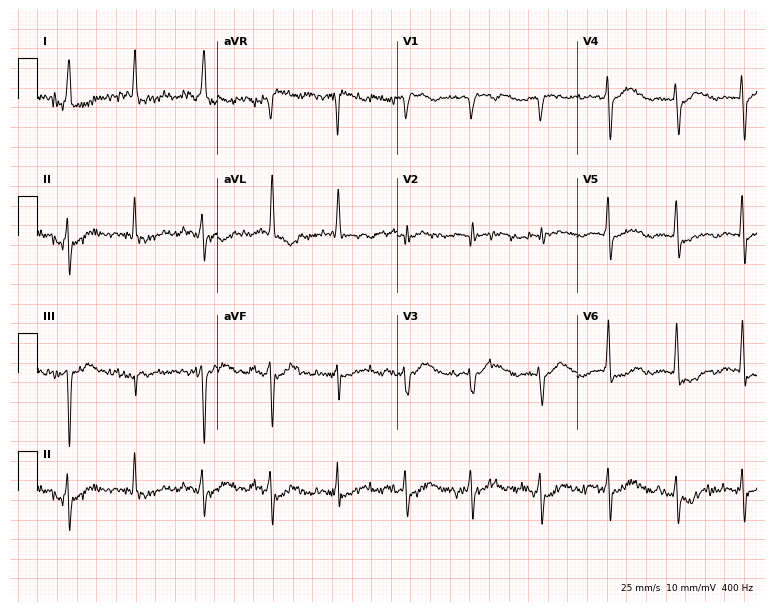
Resting 12-lead electrocardiogram (7.3-second recording at 400 Hz). Patient: an 81-year-old female. None of these six findings is recorded: first-degree AV block, right bundle branch block (RBBB), left bundle branch block (LBBB), sinus bradycardia, atrial fibrillation (AF), sinus tachycardia.